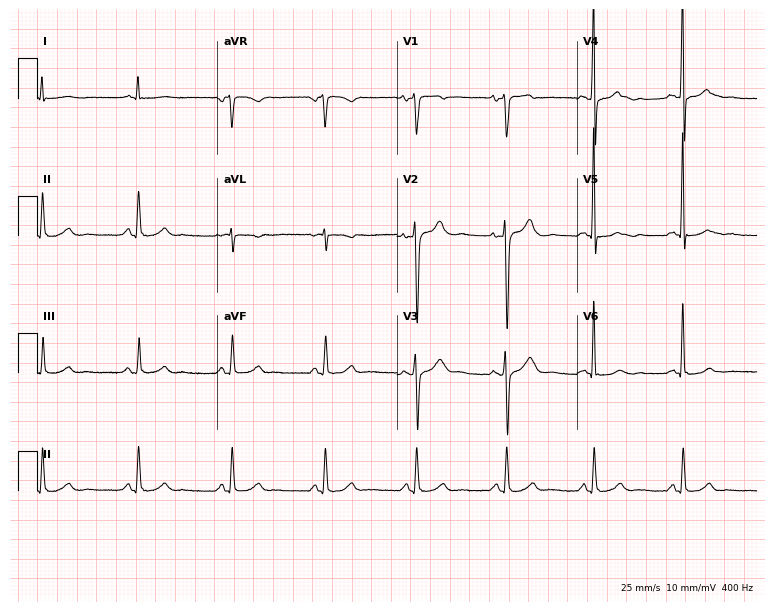
ECG — a 38-year-old man. Screened for six findings — first-degree AV block, right bundle branch block (RBBB), left bundle branch block (LBBB), sinus bradycardia, atrial fibrillation (AF), sinus tachycardia — none is recorded.